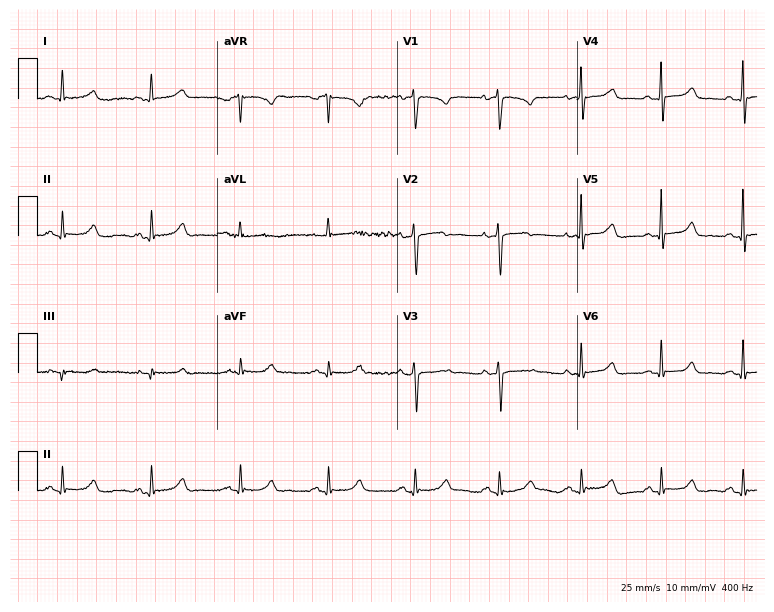
12-lead ECG (7.3-second recording at 400 Hz) from a 46-year-old woman. Screened for six findings — first-degree AV block, right bundle branch block, left bundle branch block, sinus bradycardia, atrial fibrillation, sinus tachycardia — none is recorded.